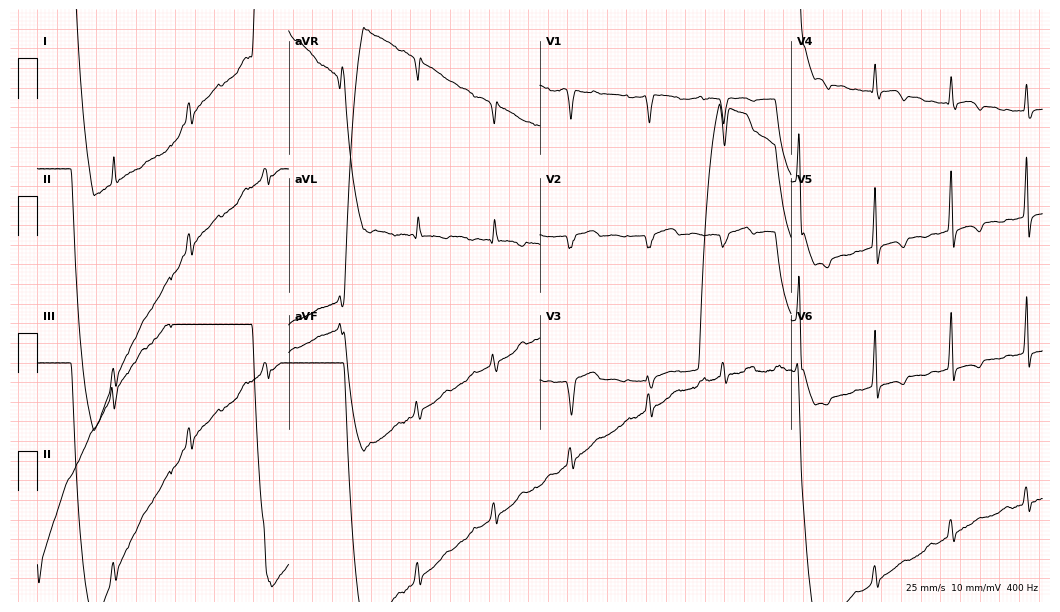
Standard 12-lead ECG recorded from an 85-year-old female. None of these six findings is recorded: first-degree AV block, right bundle branch block (RBBB), left bundle branch block (LBBB), sinus bradycardia, atrial fibrillation (AF), sinus tachycardia. Other findings, if any, are not listed.